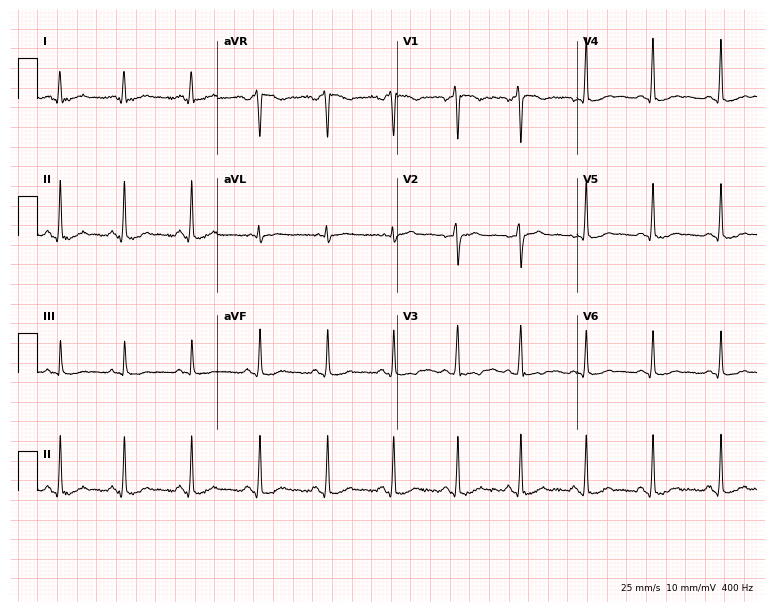
ECG — a female, 28 years old. Screened for six findings — first-degree AV block, right bundle branch block (RBBB), left bundle branch block (LBBB), sinus bradycardia, atrial fibrillation (AF), sinus tachycardia — none is recorded.